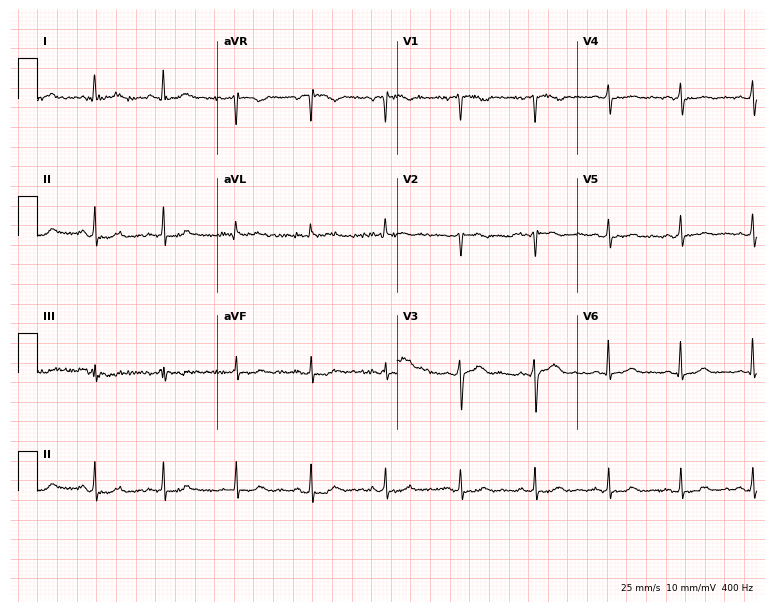
12-lead ECG from a 59-year-old female patient (7.3-second recording at 400 Hz). No first-degree AV block, right bundle branch block (RBBB), left bundle branch block (LBBB), sinus bradycardia, atrial fibrillation (AF) or sinus tachycardia recorded for this tracing. Only these six findings were labelled.